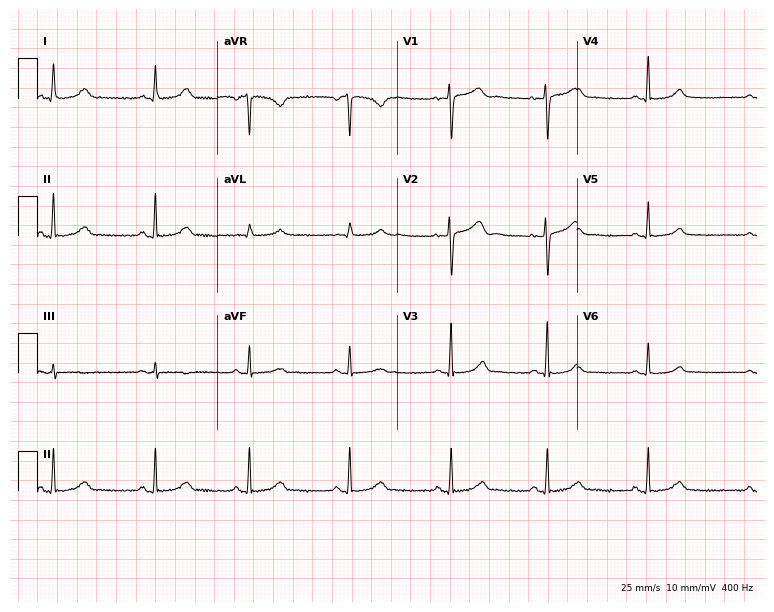
Electrocardiogram, a 35-year-old woman. Overall reading on record: normal ECG.